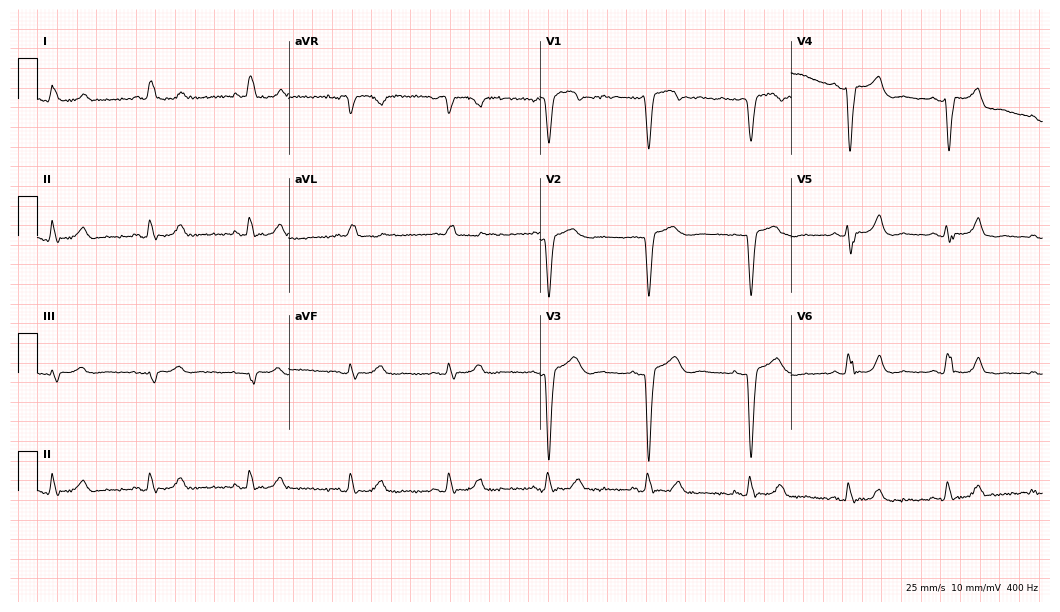
Standard 12-lead ECG recorded from a female patient, 84 years old. None of these six findings is recorded: first-degree AV block, right bundle branch block, left bundle branch block, sinus bradycardia, atrial fibrillation, sinus tachycardia. Only these six findings were labelled.